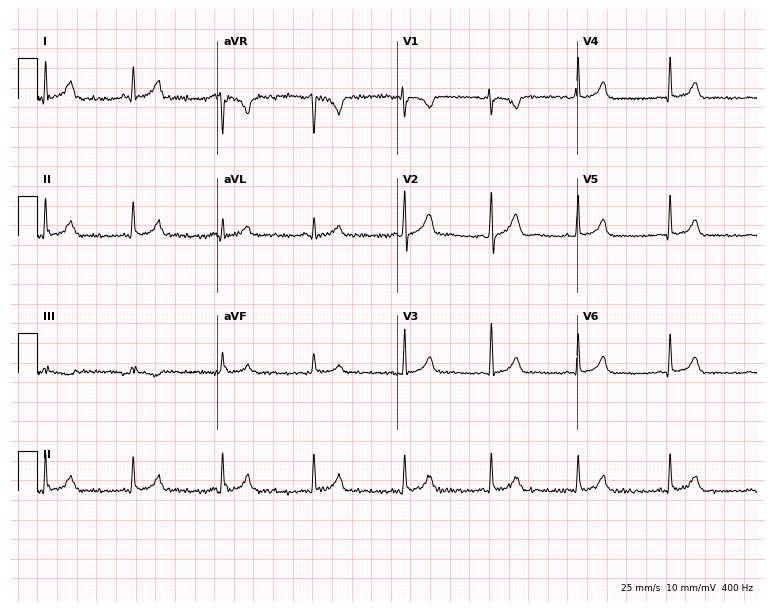
Electrocardiogram, a 22-year-old female. Overall reading on record: normal ECG.